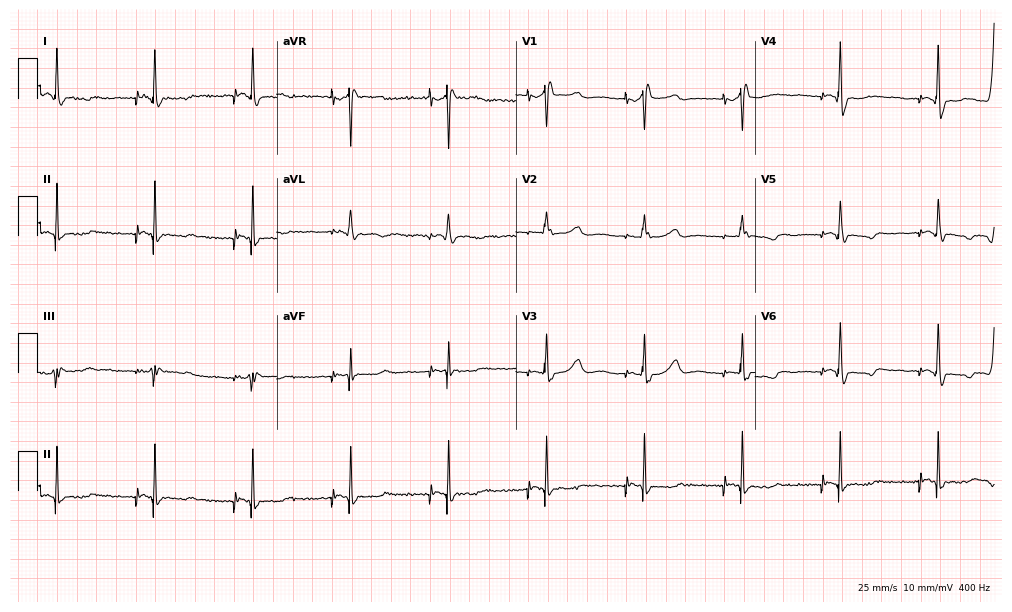
Electrocardiogram, a 64-year-old male. Of the six screened findings (first-degree AV block, right bundle branch block (RBBB), left bundle branch block (LBBB), sinus bradycardia, atrial fibrillation (AF), sinus tachycardia), none is recorded. Other findings, if any, are not listed.